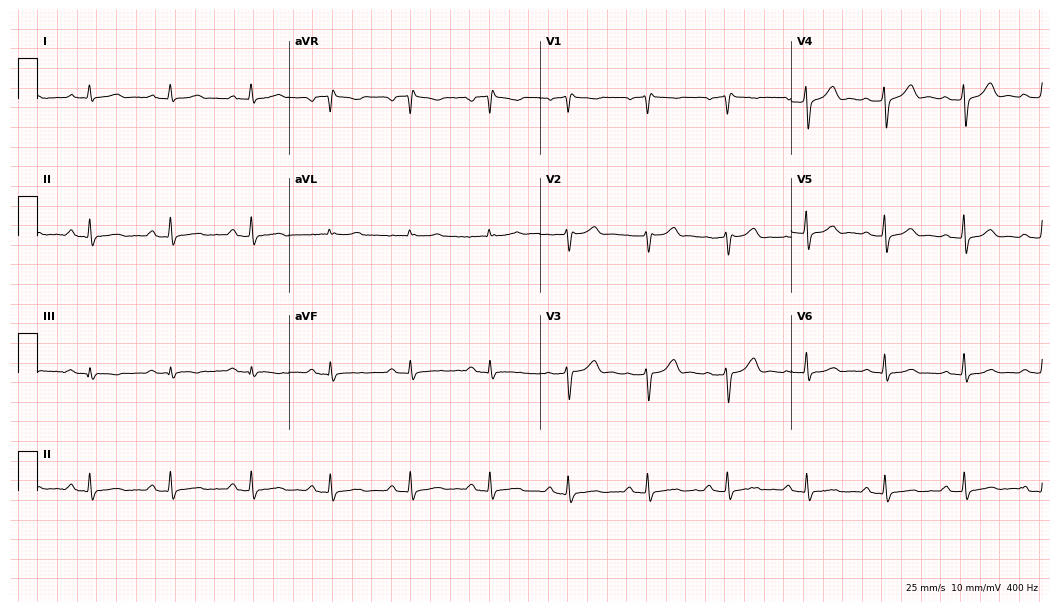
ECG — a 42-year-old female patient. Findings include first-degree AV block.